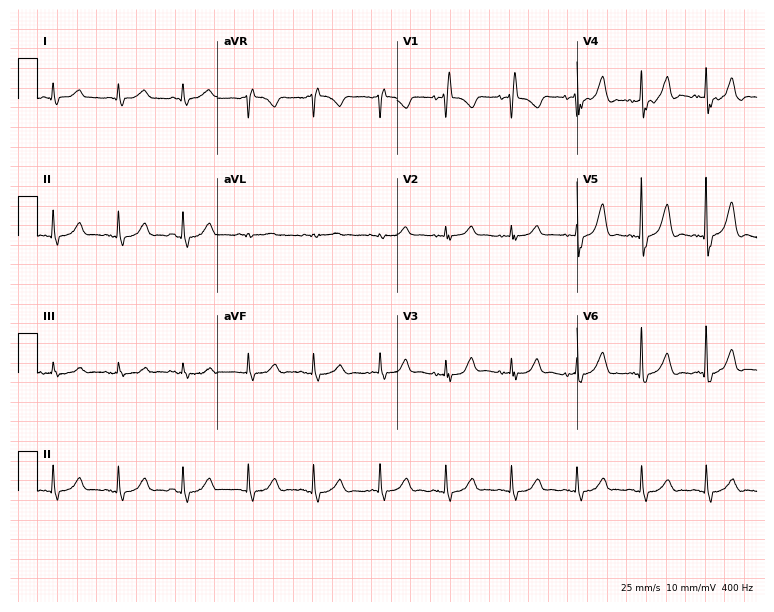
ECG (7.3-second recording at 400 Hz) — a female, 75 years old. Screened for six findings — first-degree AV block, right bundle branch block, left bundle branch block, sinus bradycardia, atrial fibrillation, sinus tachycardia — none is recorded. Only these six findings were labelled.